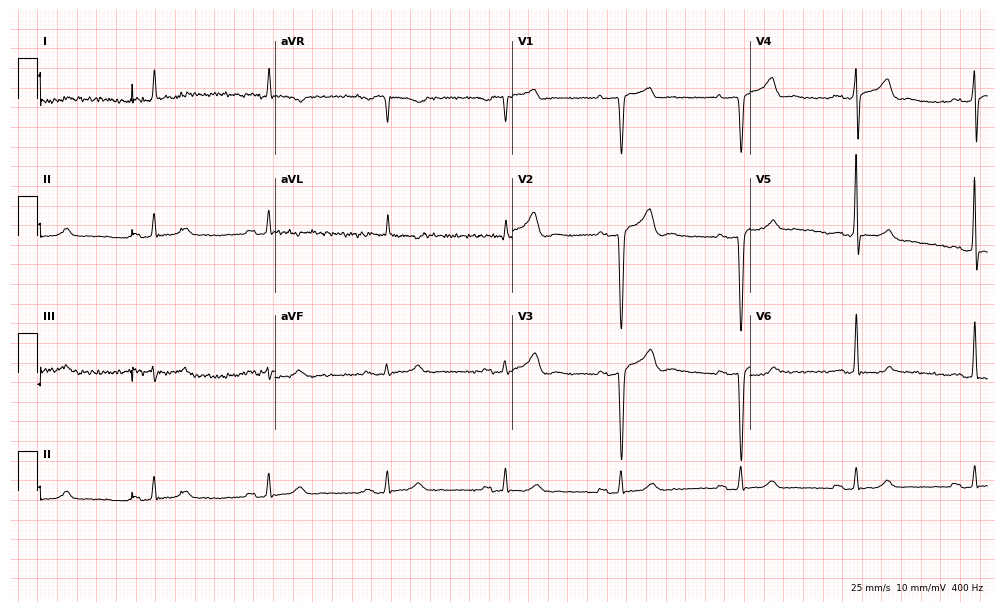
ECG — a 73-year-old male. Screened for six findings — first-degree AV block, right bundle branch block (RBBB), left bundle branch block (LBBB), sinus bradycardia, atrial fibrillation (AF), sinus tachycardia — none is recorded.